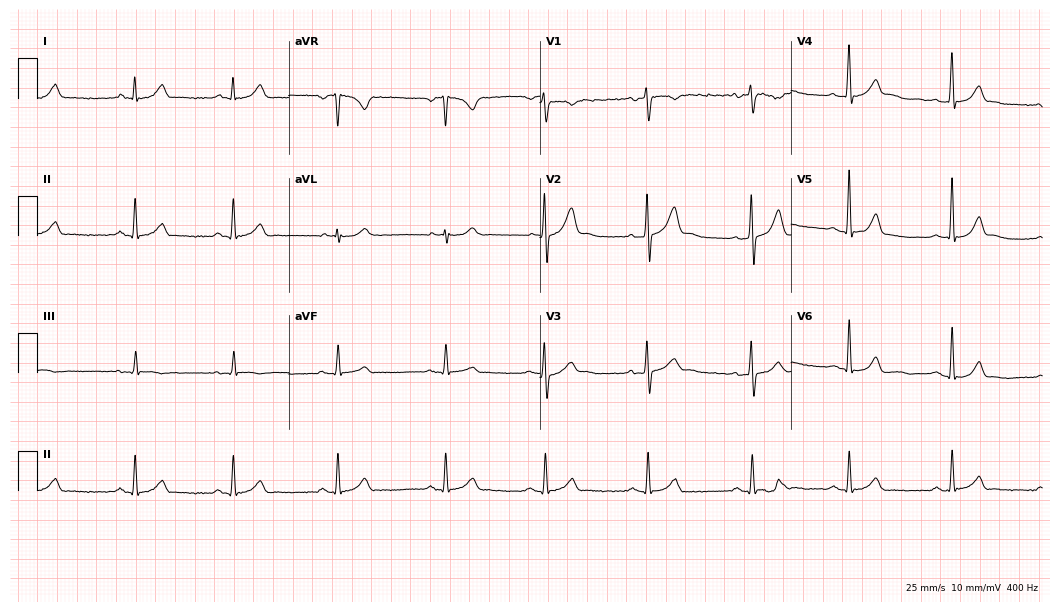
12-lead ECG from a man, 30 years old. No first-degree AV block, right bundle branch block, left bundle branch block, sinus bradycardia, atrial fibrillation or sinus tachycardia recorded for this tracing. Other findings, if any, are not listed.